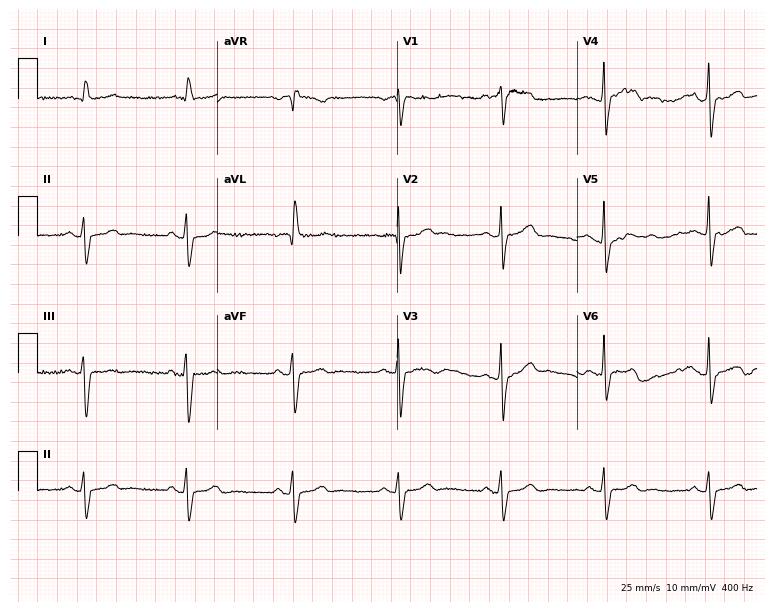
12-lead ECG from a male patient, 85 years old (7.3-second recording at 400 Hz). No first-degree AV block, right bundle branch block, left bundle branch block, sinus bradycardia, atrial fibrillation or sinus tachycardia recorded for this tracing.